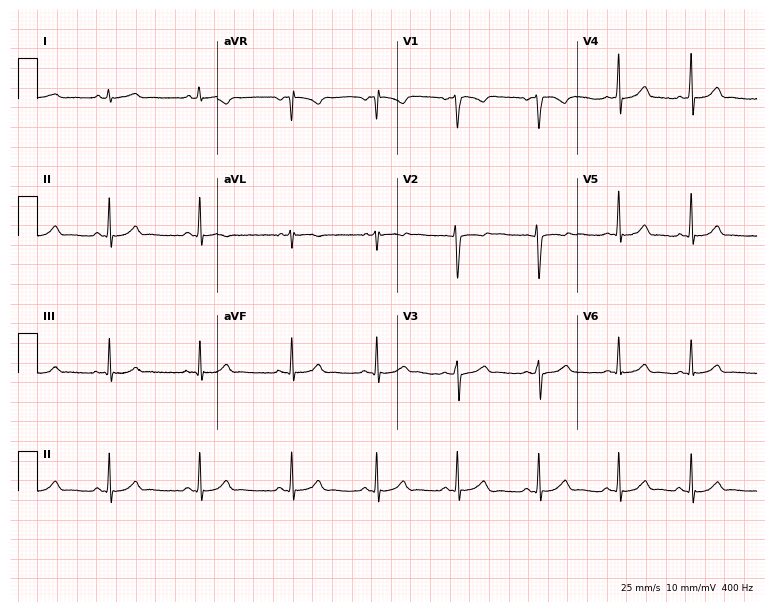
Resting 12-lead electrocardiogram (7.3-second recording at 400 Hz). Patient: a woman, 22 years old. Read as a normal ECG.